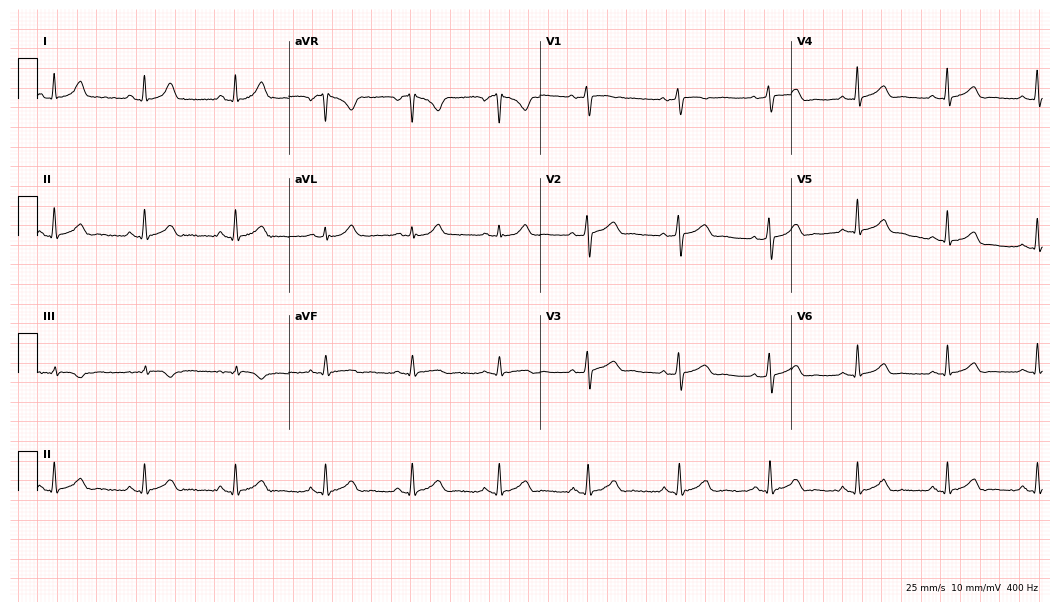
12-lead ECG from a female, 40 years old. Recorded interpretation: within normal limits.